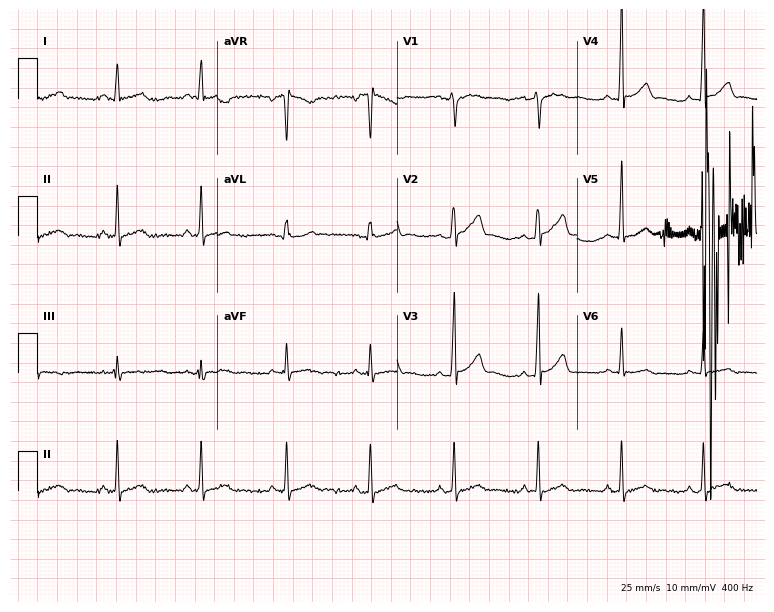
Standard 12-lead ECG recorded from a male, 38 years old (7.3-second recording at 400 Hz). None of these six findings is recorded: first-degree AV block, right bundle branch block, left bundle branch block, sinus bradycardia, atrial fibrillation, sinus tachycardia.